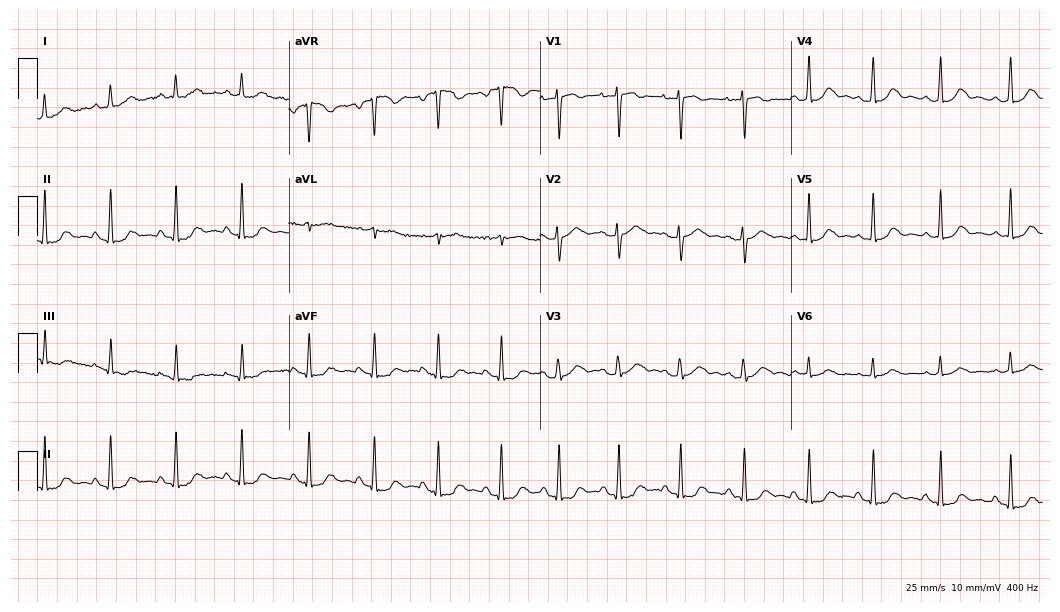
Electrocardiogram, a female patient, 40 years old. Of the six screened findings (first-degree AV block, right bundle branch block (RBBB), left bundle branch block (LBBB), sinus bradycardia, atrial fibrillation (AF), sinus tachycardia), none is recorded.